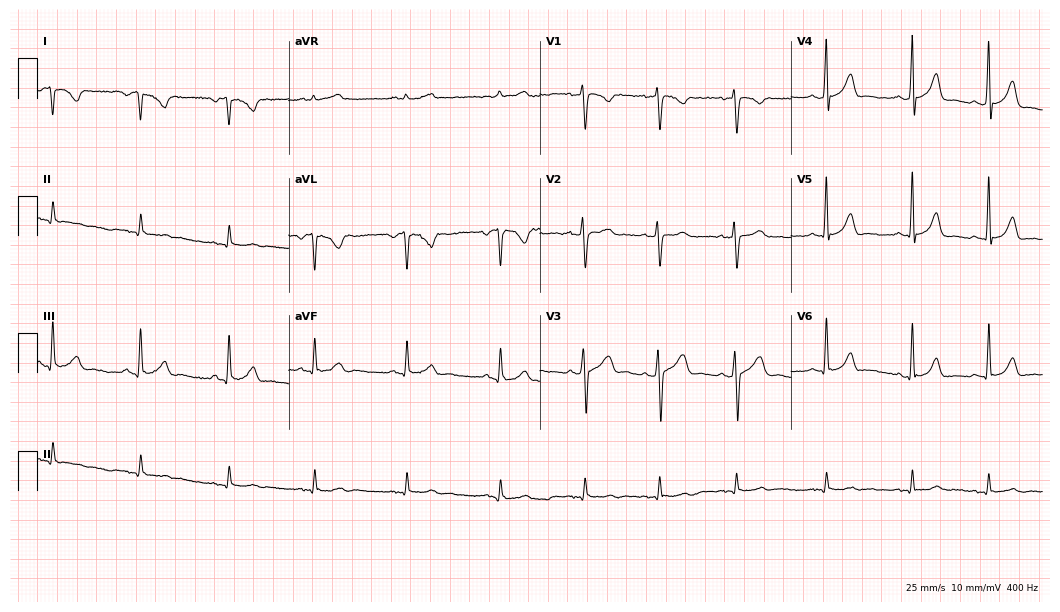
ECG (10.2-second recording at 400 Hz) — a woman, 20 years old. Screened for six findings — first-degree AV block, right bundle branch block, left bundle branch block, sinus bradycardia, atrial fibrillation, sinus tachycardia — none is recorded. Only these six findings were labelled.